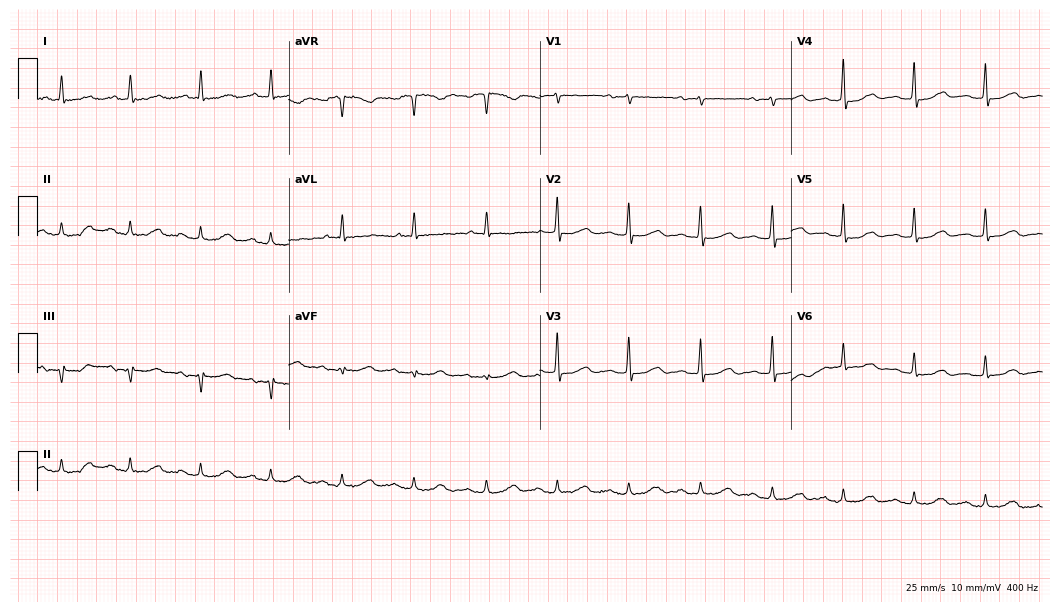
ECG (10.2-second recording at 400 Hz) — a 74-year-old woman. Labelled as a normal ECG.